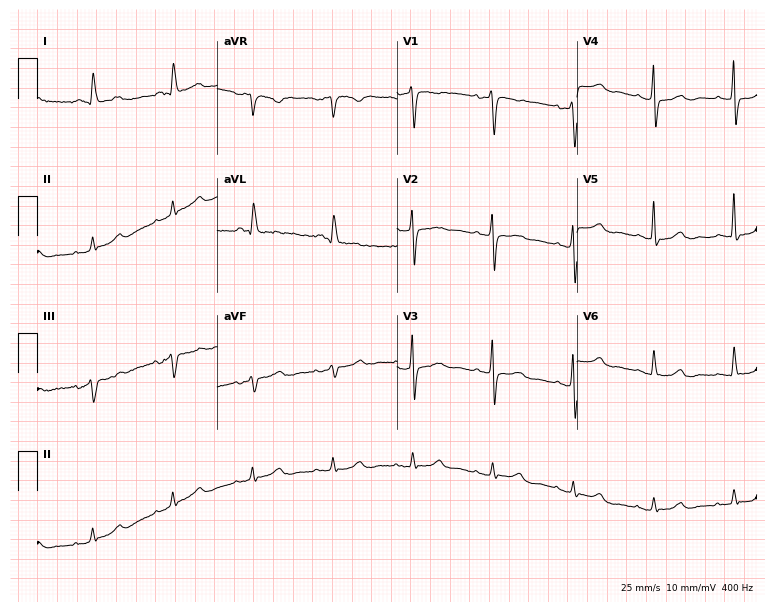
Electrocardiogram, a male patient, 75 years old. Of the six screened findings (first-degree AV block, right bundle branch block, left bundle branch block, sinus bradycardia, atrial fibrillation, sinus tachycardia), none is recorded.